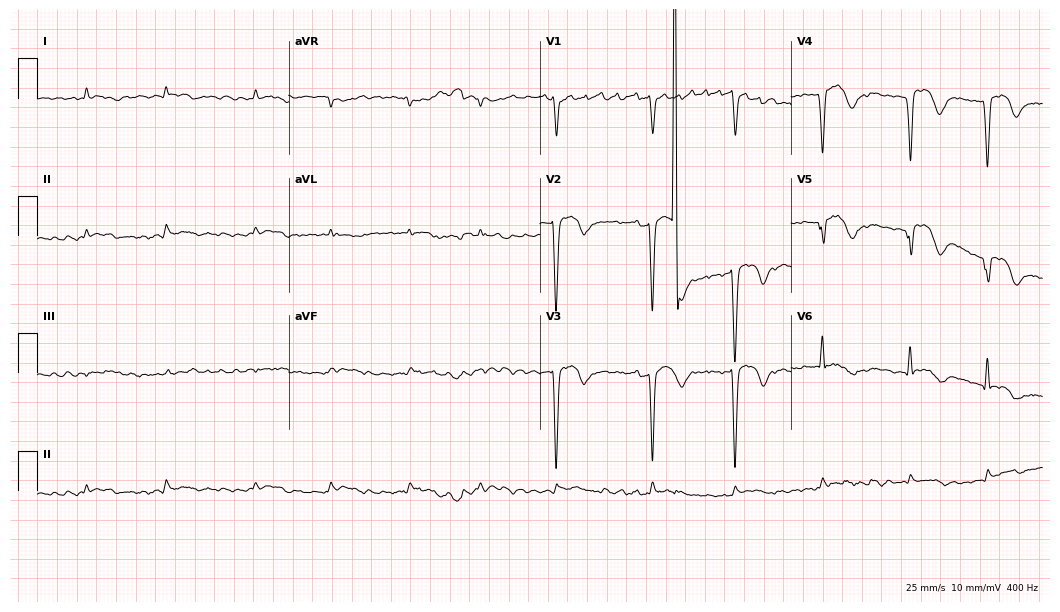
12-lead ECG from a male, 84 years old. Screened for six findings — first-degree AV block, right bundle branch block, left bundle branch block, sinus bradycardia, atrial fibrillation, sinus tachycardia — none is recorded. Only these six findings were labelled.